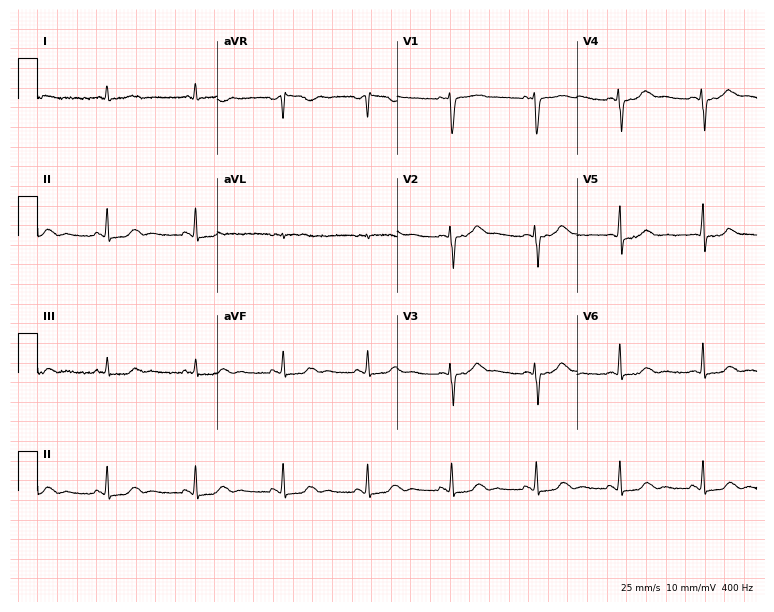
12-lead ECG from a woman, 44 years old. Screened for six findings — first-degree AV block, right bundle branch block, left bundle branch block, sinus bradycardia, atrial fibrillation, sinus tachycardia — none is recorded. Other findings, if any, are not listed.